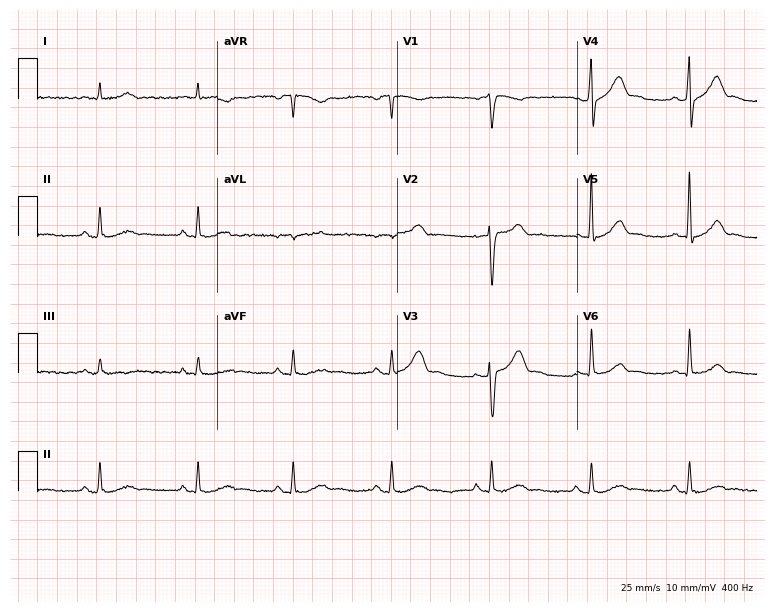
Resting 12-lead electrocardiogram (7.3-second recording at 400 Hz). Patient: a 47-year-old male. None of these six findings is recorded: first-degree AV block, right bundle branch block, left bundle branch block, sinus bradycardia, atrial fibrillation, sinus tachycardia. Only these six findings were labelled.